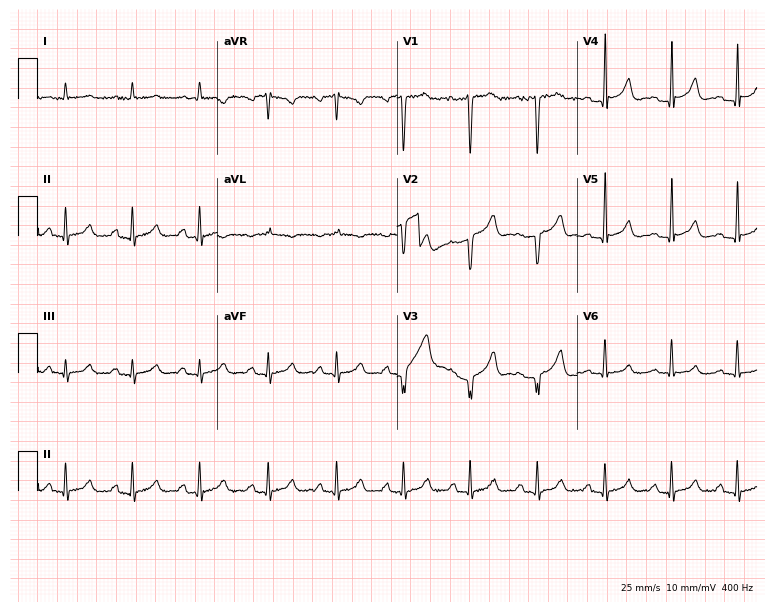
Electrocardiogram (7.3-second recording at 400 Hz), a 70-year-old man. Of the six screened findings (first-degree AV block, right bundle branch block (RBBB), left bundle branch block (LBBB), sinus bradycardia, atrial fibrillation (AF), sinus tachycardia), none is recorded. Other findings, if any, are not listed.